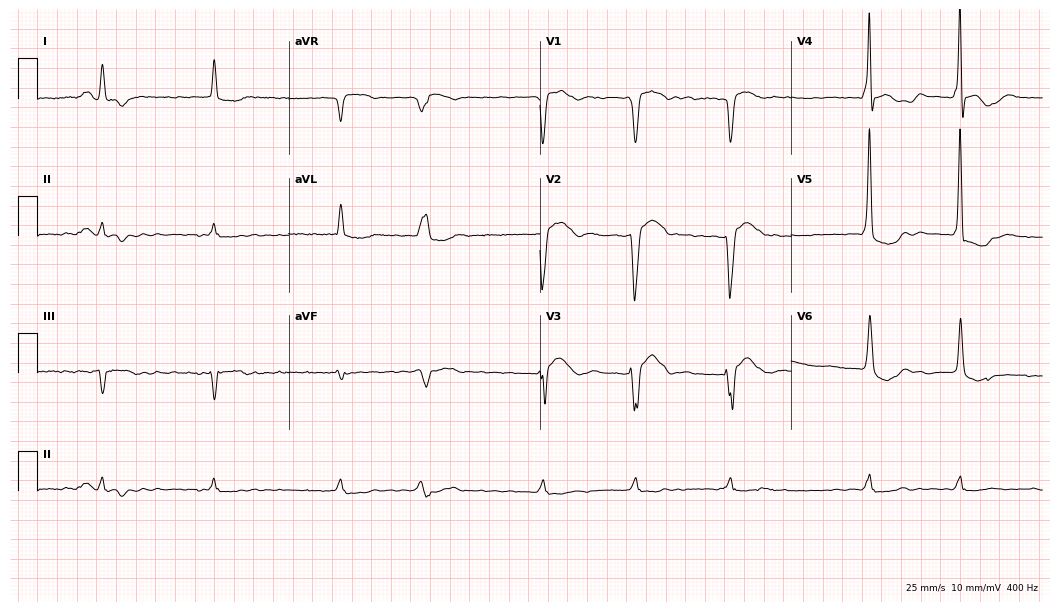
Standard 12-lead ECG recorded from a 74-year-old male patient. The tracing shows first-degree AV block, atrial fibrillation.